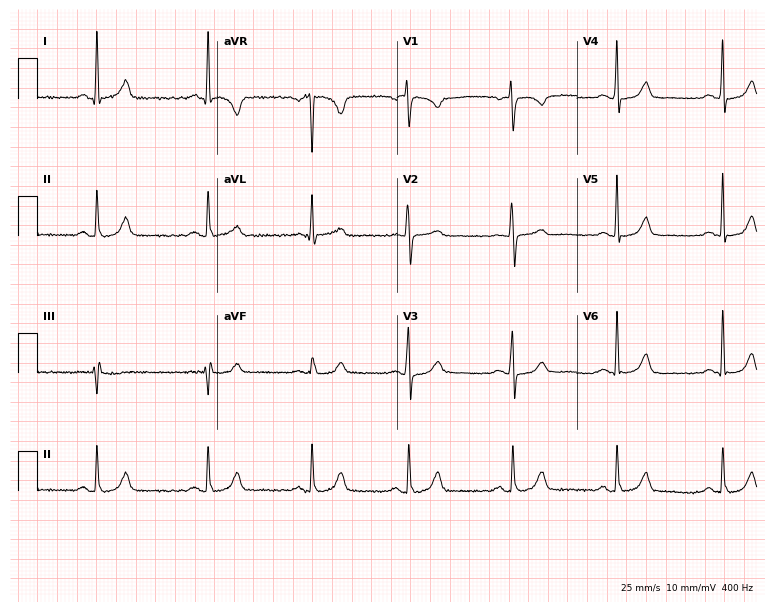
ECG — a woman, 55 years old. Screened for six findings — first-degree AV block, right bundle branch block (RBBB), left bundle branch block (LBBB), sinus bradycardia, atrial fibrillation (AF), sinus tachycardia — none is recorded. Findings outside these six are not listed.